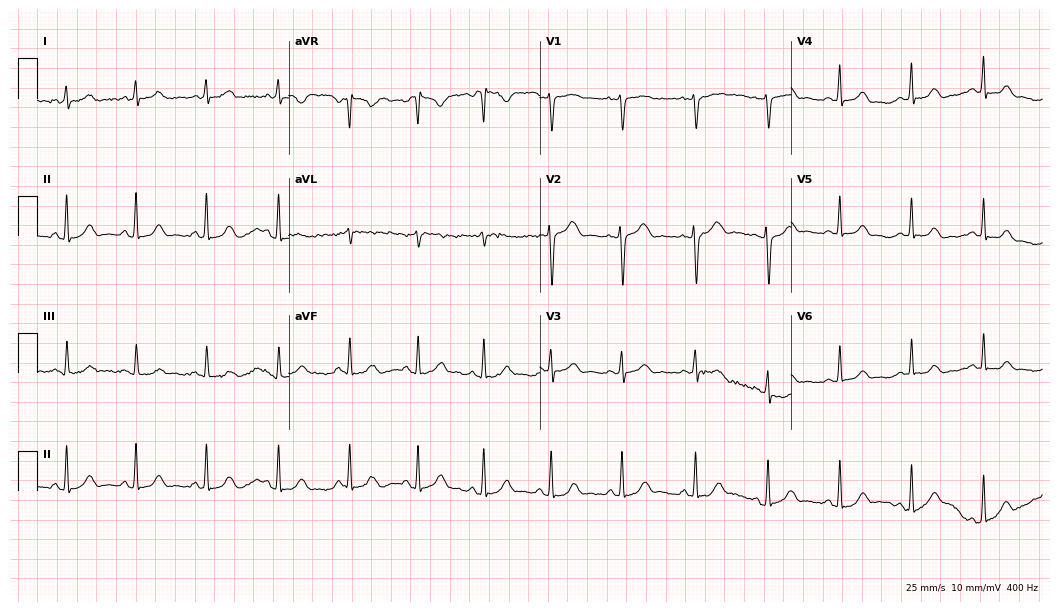
Standard 12-lead ECG recorded from a 19-year-old woman. Read as a normal ECG.